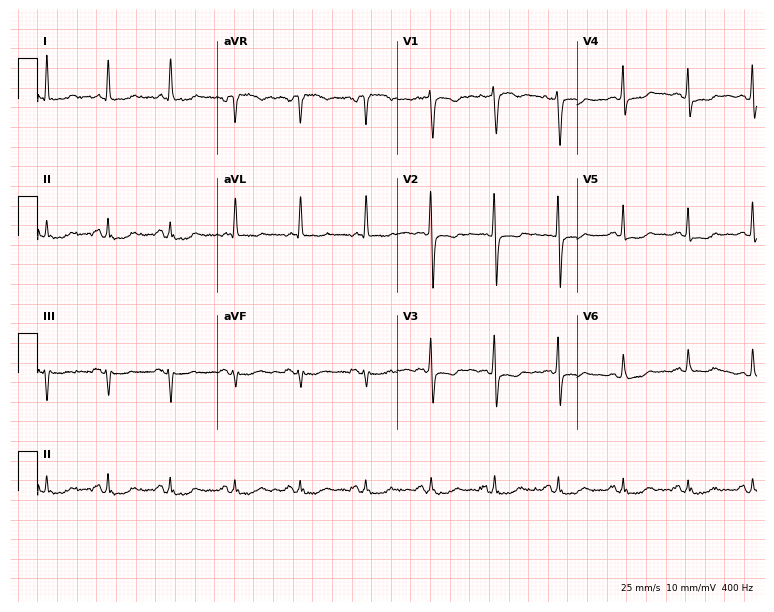
12-lead ECG from a 59-year-old woman (7.3-second recording at 400 Hz). No first-degree AV block, right bundle branch block, left bundle branch block, sinus bradycardia, atrial fibrillation or sinus tachycardia recorded for this tracing.